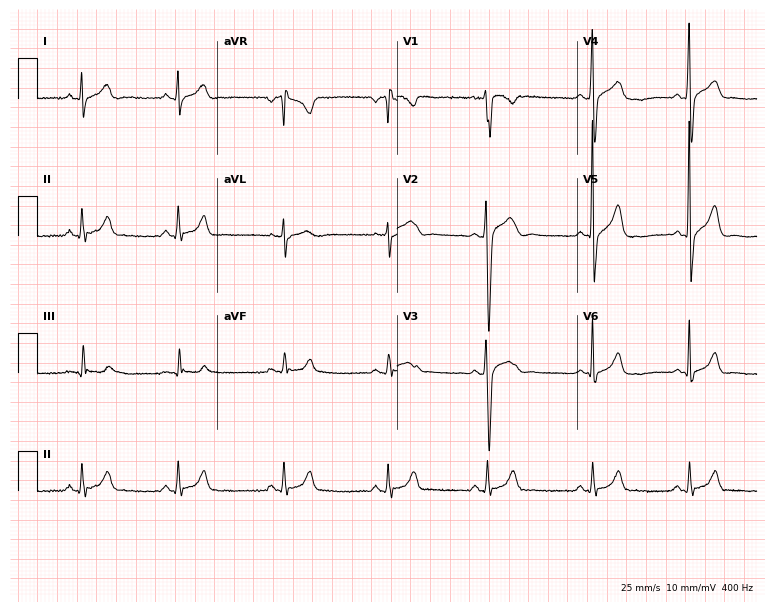
12-lead ECG from a man, 23 years old. Recorded interpretation: within normal limits.